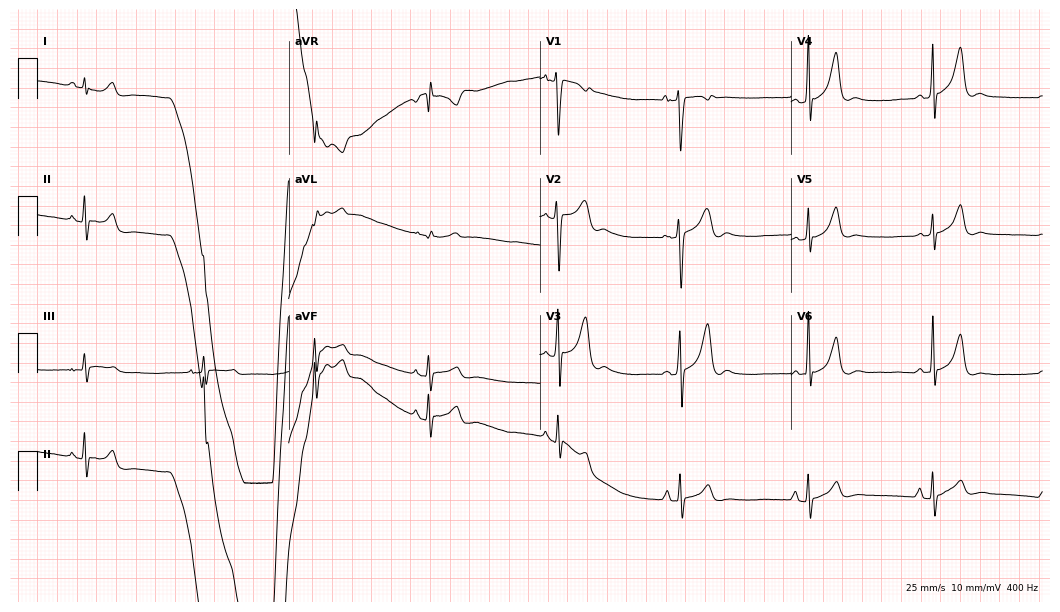
ECG (10.2-second recording at 400 Hz) — a male patient, 18 years old. Findings include sinus bradycardia (a sinus rate of 50 beats per minute or less).